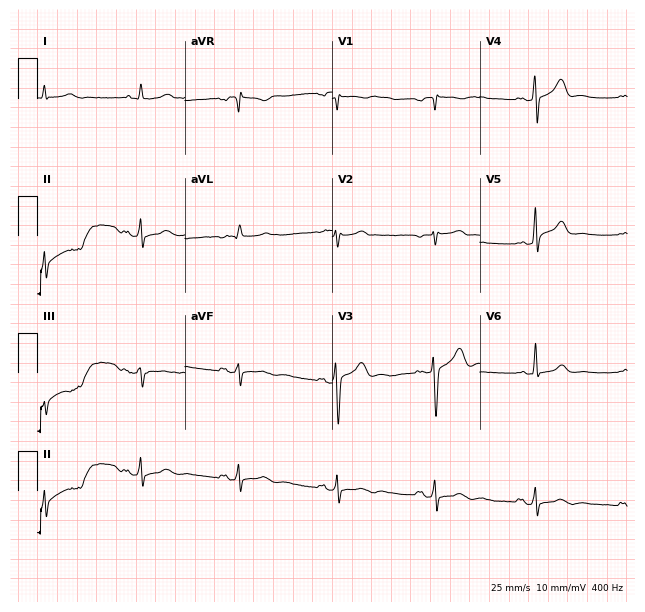
ECG — a 66-year-old man. Screened for six findings — first-degree AV block, right bundle branch block, left bundle branch block, sinus bradycardia, atrial fibrillation, sinus tachycardia — none is recorded.